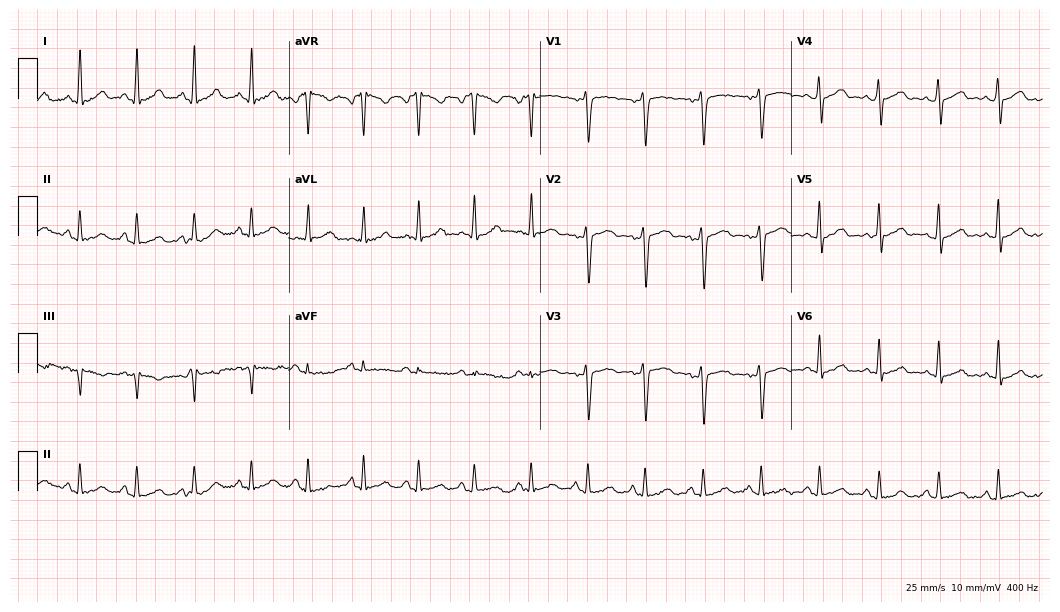
12-lead ECG from a woman, 27 years old (10.2-second recording at 400 Hz). Recorded interpretation: within normal limits.